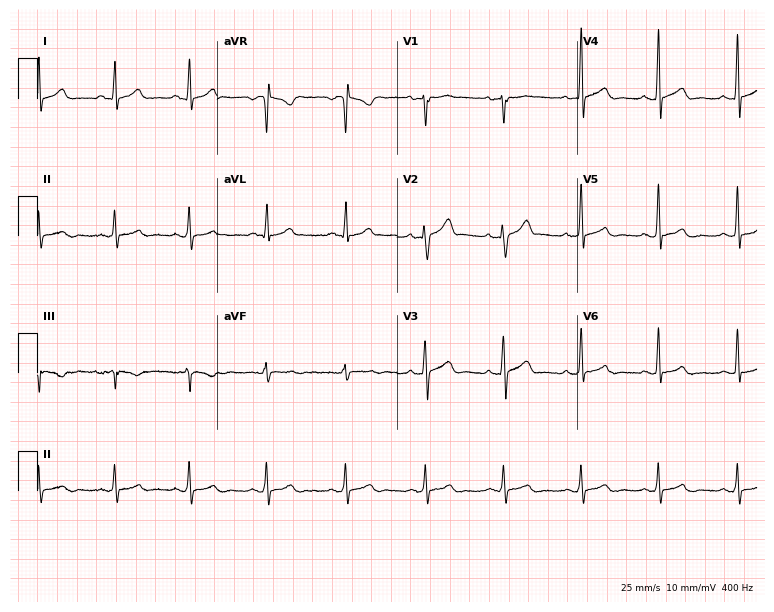
12-lead ECG (7.3-second recording at 400 Hz) from a 42-year-old male. Labelled as a normal ECG.